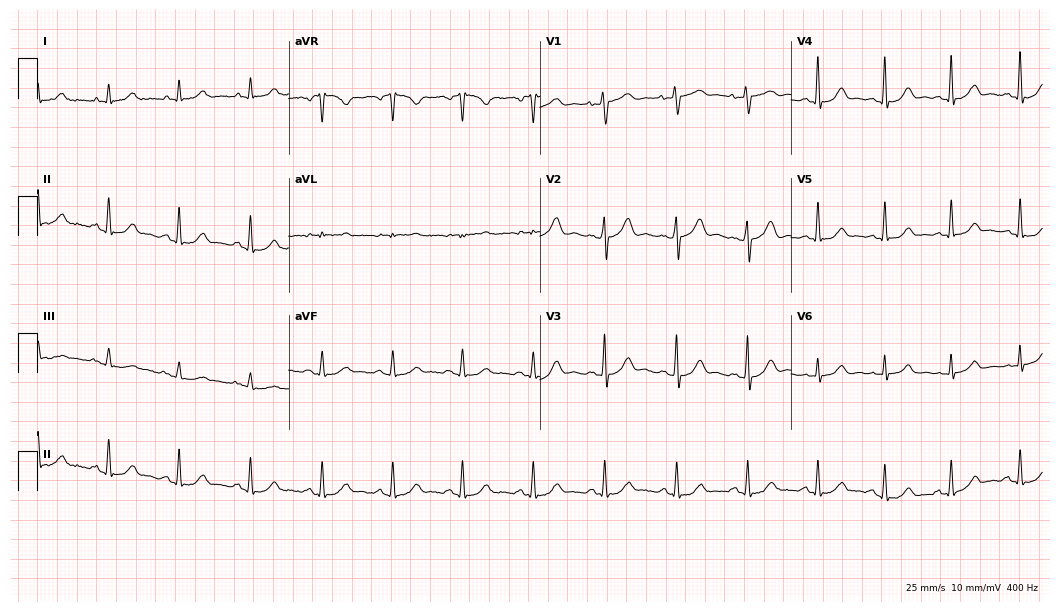
Standard 12-lead ECG recorded from a 65-year-old male patient (10.2-second recording at 400 Hz). None of these six findings is recorded: first-degree AV block, right bundle branch block, left bundle branch block, sinus bradycardia, atrial fibrillation, sinus tachycardia.